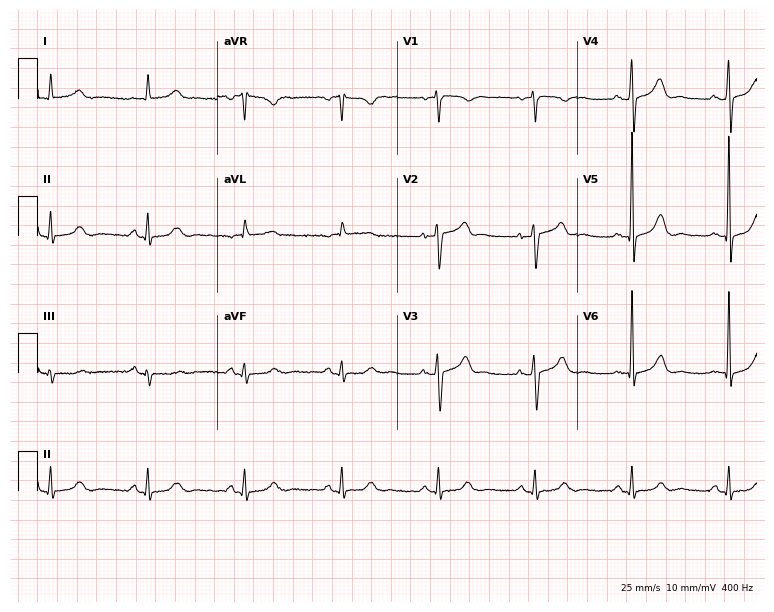
ECG (7.3-second recording at 400 Hz) — a male patient, 78 years old. Labelled as a normal ECG.